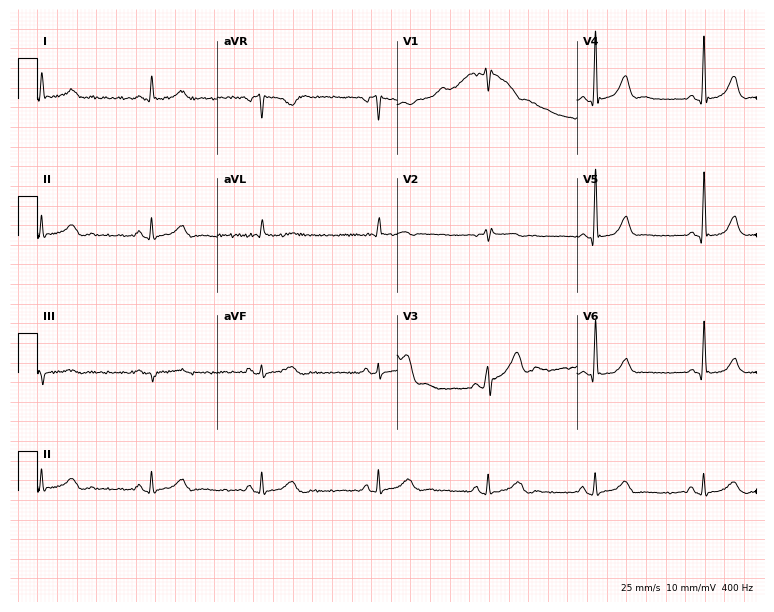
Electrocardiogram (7.3-second recording at 400 Hz), a 53-year-old male. Of the six screened findings (first-degree AV block, right bundle branch block, left bundle branch block, sinus bradycardia, atrial fibrillation, sinus tachycardia), none is recorded. Only these six findings were labelled.